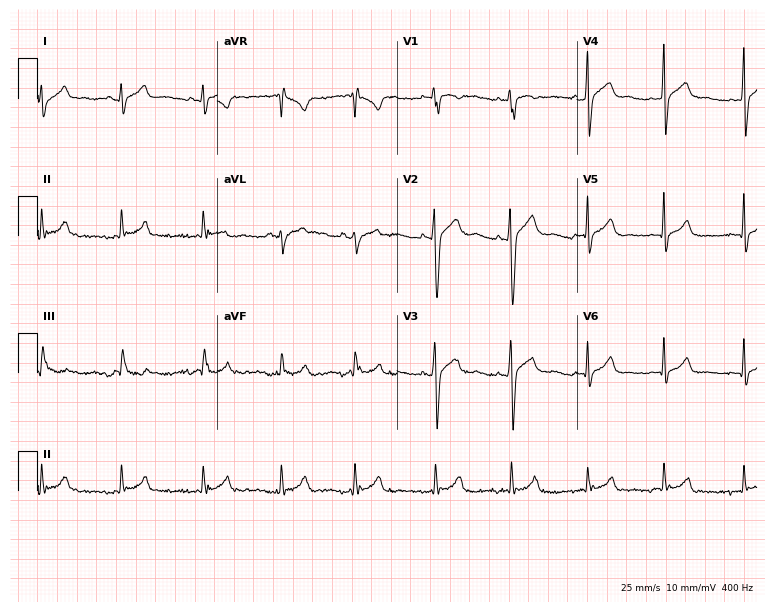
Standard 12-lead ECG recorded from a male patient, 18 years old. Read as a normal ECG.